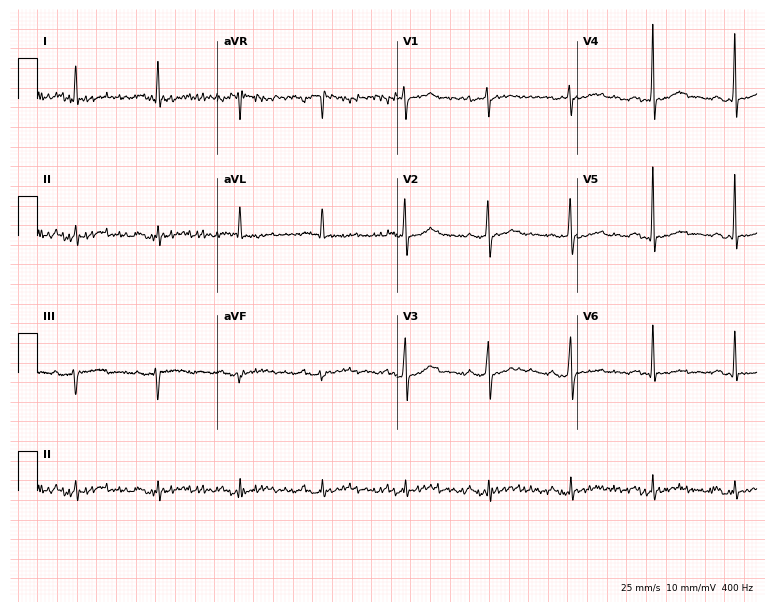
Standard 12-lead ECG recorded from a man, 70 years old. Read as a normal ECG.